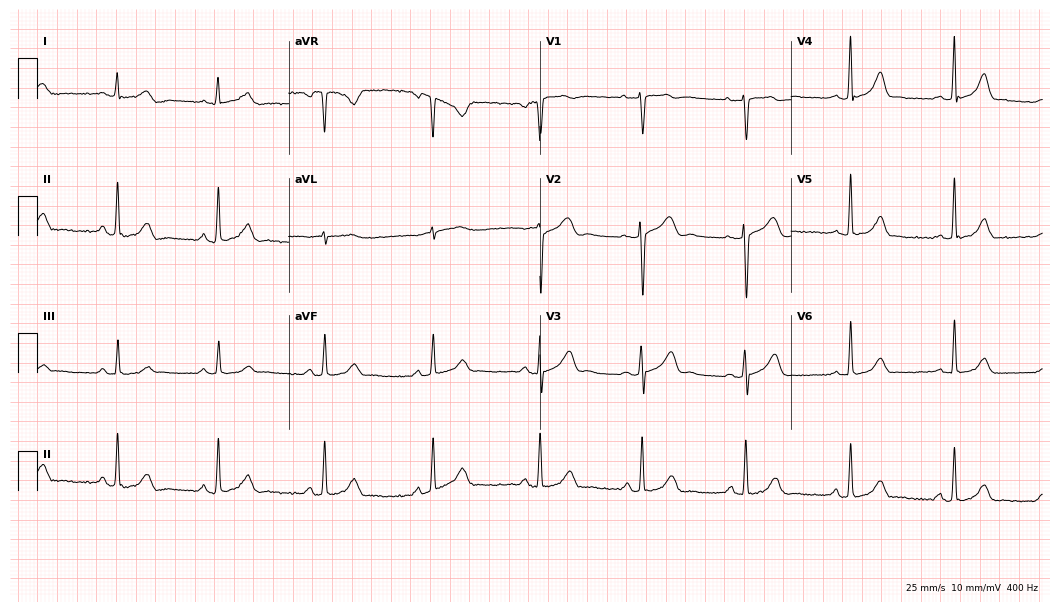
Electrocardiogram, a 35-year-old female. Of the six screened findings (first-degree AV block, right bundle branch block, left bundle branch block, sinus bradycardia, atrial fibrillation, sinus tachycardia), none is recorded.